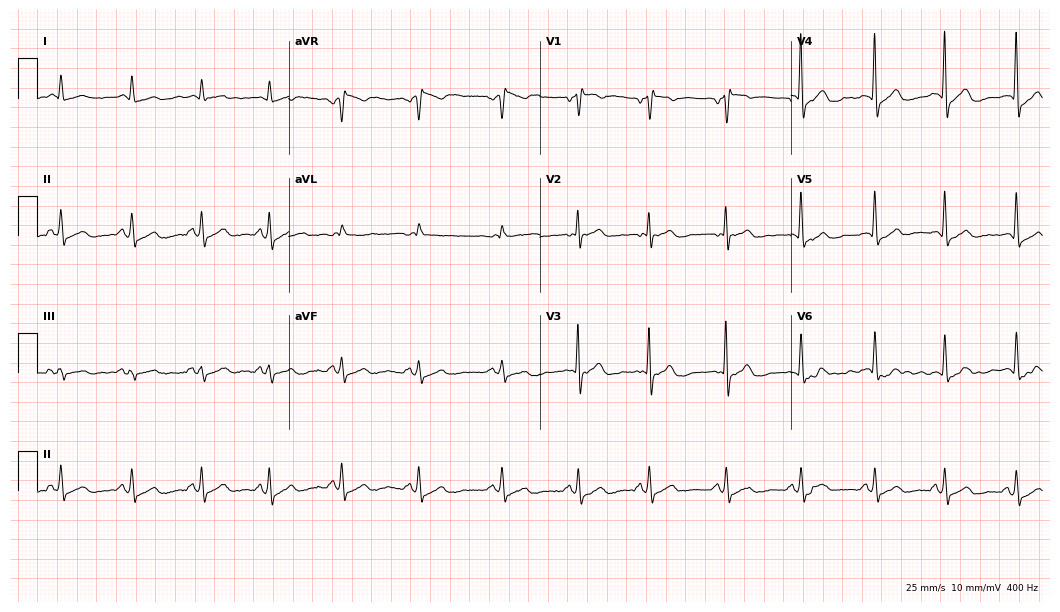
12-lead ECG (10.2-second recording at 400 Hz) from a man, 48 years old. Screened for six findings — first-degree AV block, right bundle branch block, left bundle branch block, sinus bradycardia, atrial fibrillation, sinus tachycardia — none is recorded. Only these six findings were labelled.